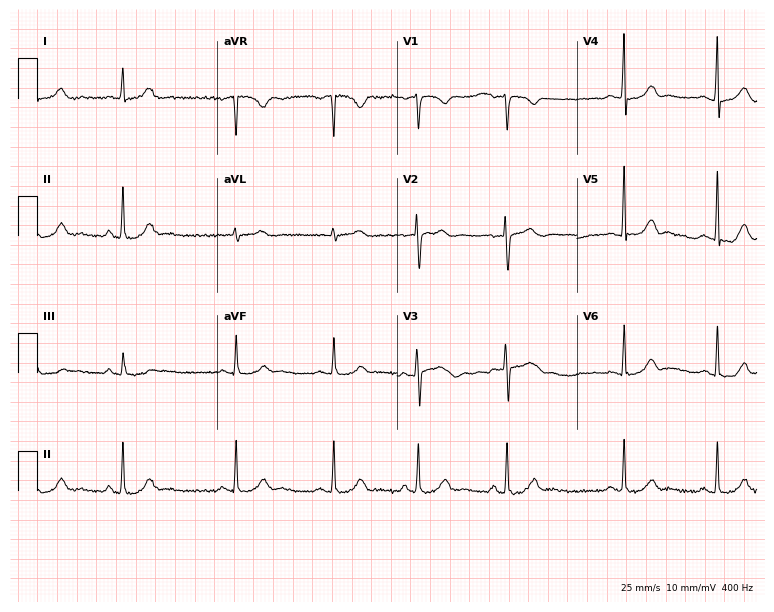
Resting 12-lead electrocardiogram. Patient: a female, 36 years old. None of these six findings is recorded: first-degree AV block, right bundle branch block, left bundle branch block, sinus bradycardia, atrial fibrillation, sinus tachycardia.